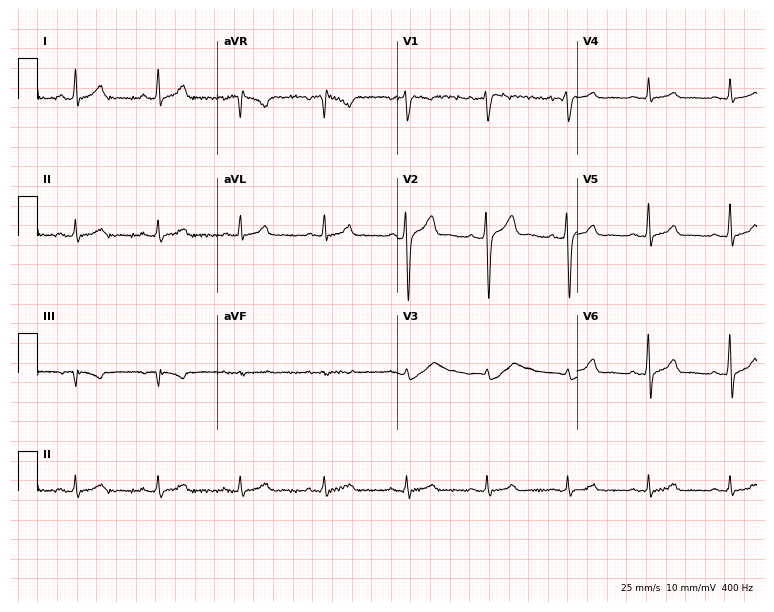
ECG — a male, 38 years old. Labelled as a normal ECG.